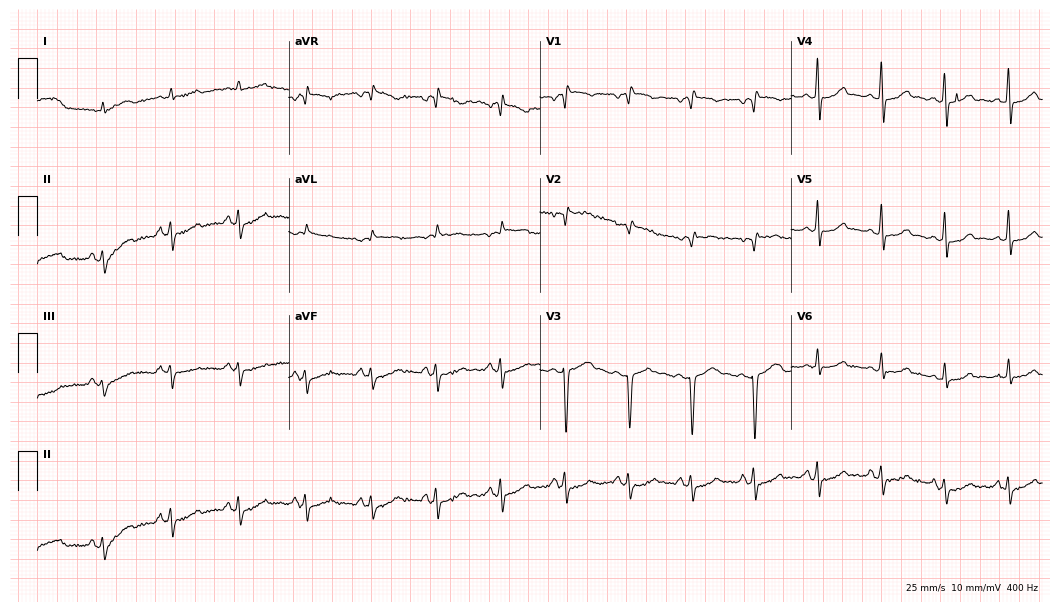
Electrocardiogram, a 55-year-old female patient. Of the six screened findings (first-degree AV block, right bundle branch block (RBBB), left bundle branch block (LBBB), sinus bradycardia, atrial fibrillation (AF), sinus tachycardia), none is recorded. Only these six findings were labelled.